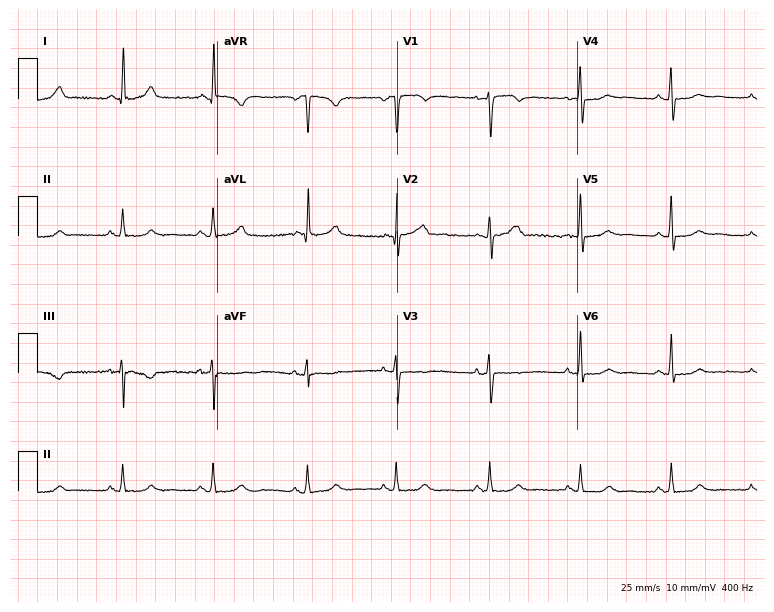
12-lead ECG from a female patient, 34 years old. Labelled as a normal ECG.